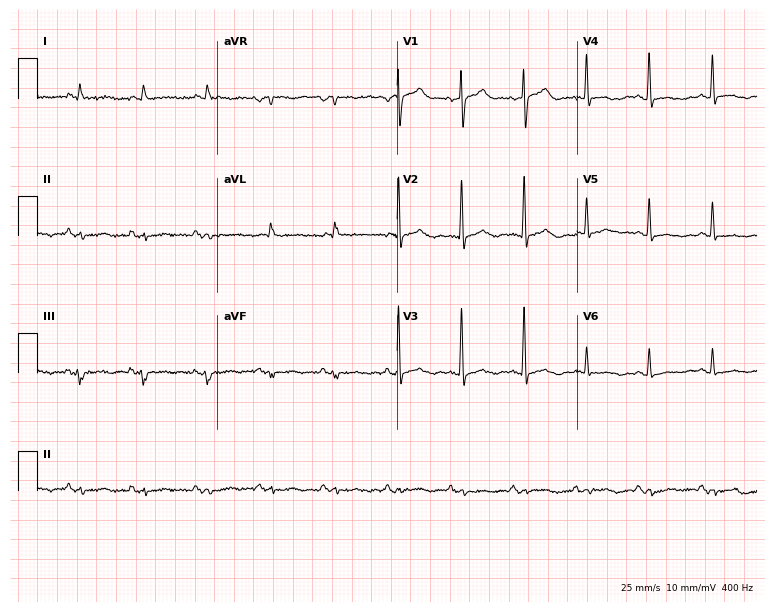
12-lead ECG (7.3-second recording at 400 Hz) from a female, 82 years old. Screened for six findings — first-degree AV block, right bundle branch block (RBBB), left bundle branch block (LBBB), sinus bradycardia, atrial fibrillation (AF), sinus tachycardia — none is recorded. Other findings, if any, are not listed.